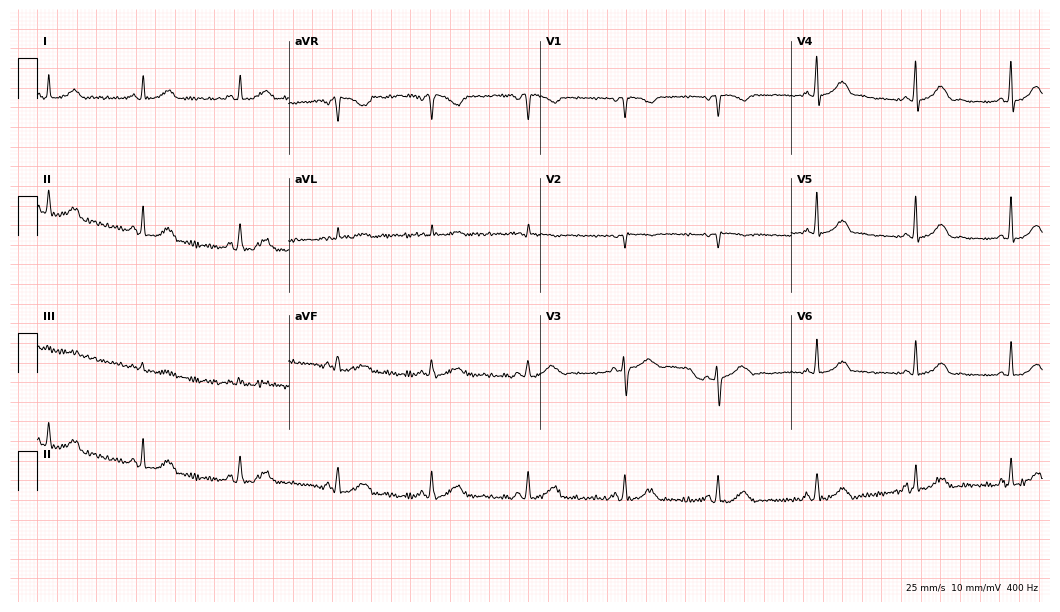
Electrocardiogram (10.2-second recording at 400 Hz), a woman, 43 years old. Of the six screened findings (first-degree AV block, right bundle branch block, left bundle branch block, sinus bradycardia, atrial fibrillation, sinus tachycardia), none is recorded. Other findings, if any, are not listed.